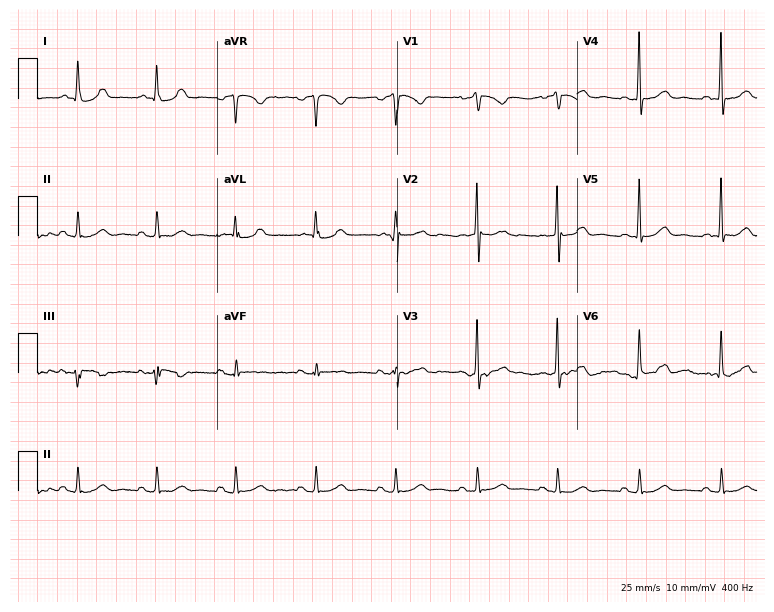
ECG (7.3-second recording at 400 Hz) — a female patient, 68 years old. Labelled as a normal ECG.